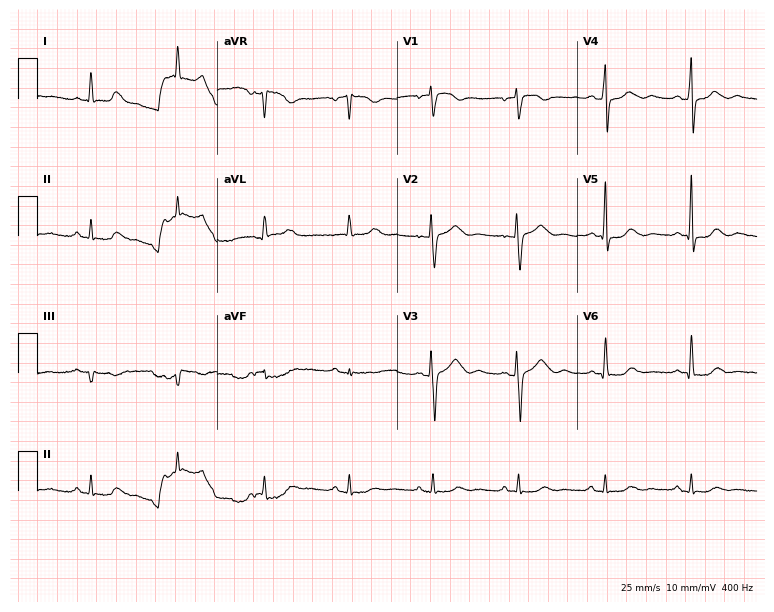
12-lead ECG (7.3-second recording at 400 Hz) from a 51-year-old female patient. Screened for six findings — first-degree AV block, right bundle branch block, left bundle branch block, sinus bradycardia, atrial fibrillation, sinus tachycardia — none is recorded.